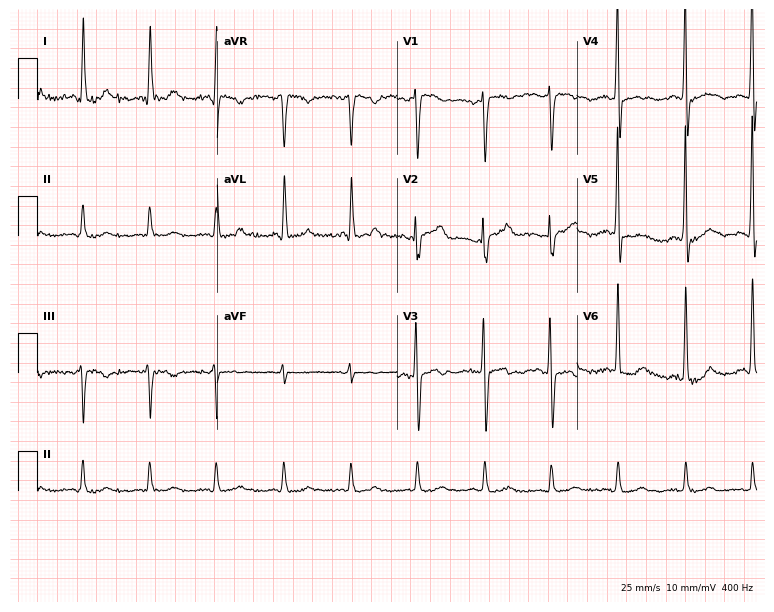
ECG — a female, 79 years old. Screened for six findings — first-degree AV block, right bundle branch block, left bundle branch block, sinus bradycardia, atrial fibrillation, sinus tachycardia — none is recorded.